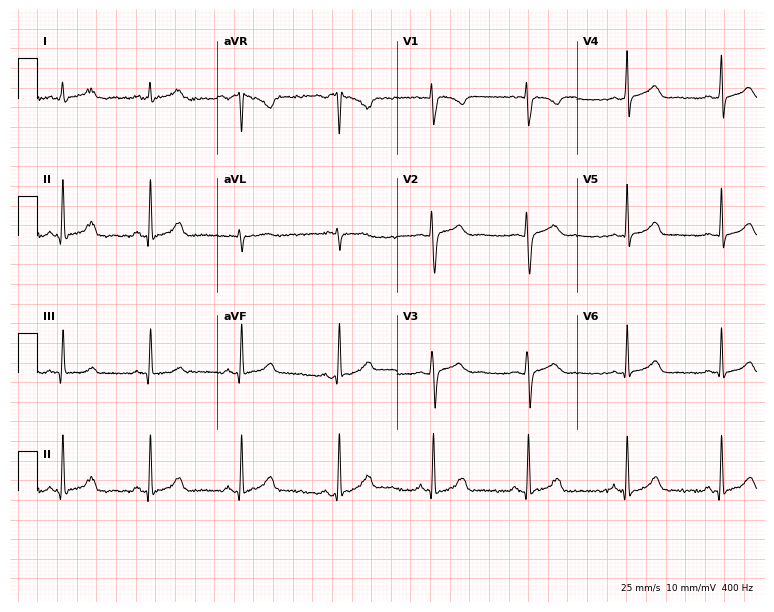
12-lead ECG (7.3-second recording at 400 Hz) from a 32-year-old woman. Labelled as a normal ECG.